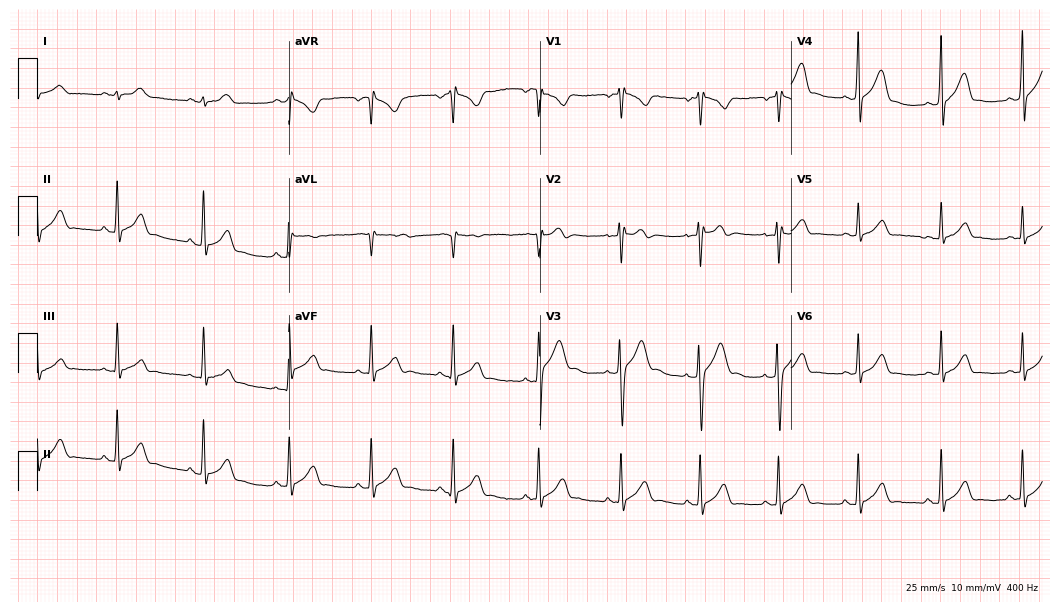
12-lead ECG from a 22-year-old male. Labelled as a normal ECG.